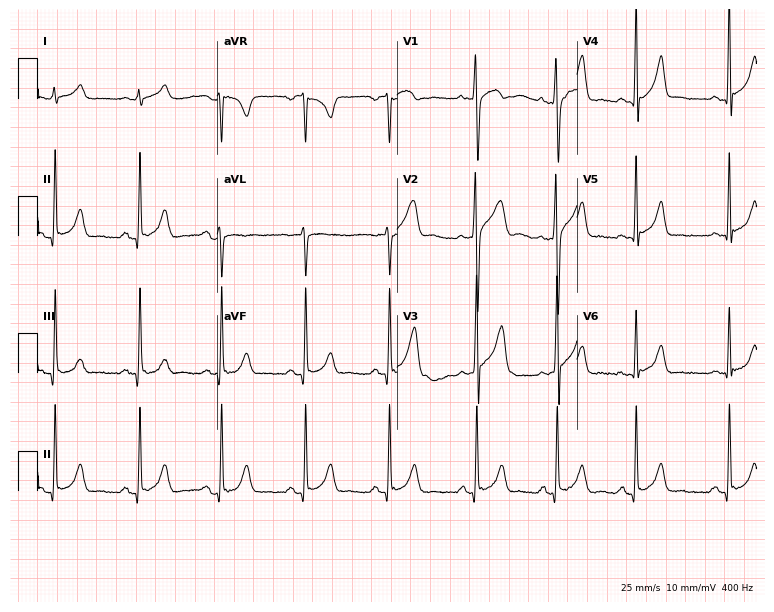
ECG — a 32-year-old male patient. Labelled as a normal ECG.